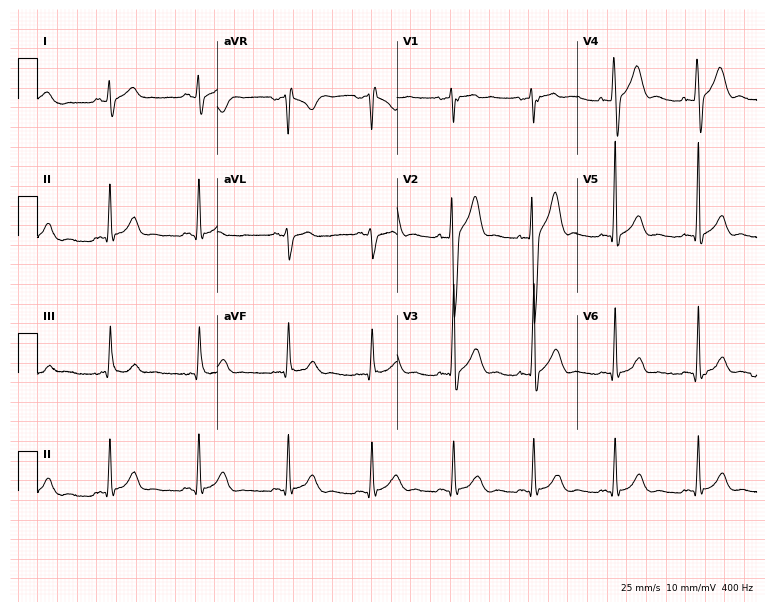
ECG (7.3-second recording at 400 Hz) — a male, 36 years old. Labelled as a normal ECG.